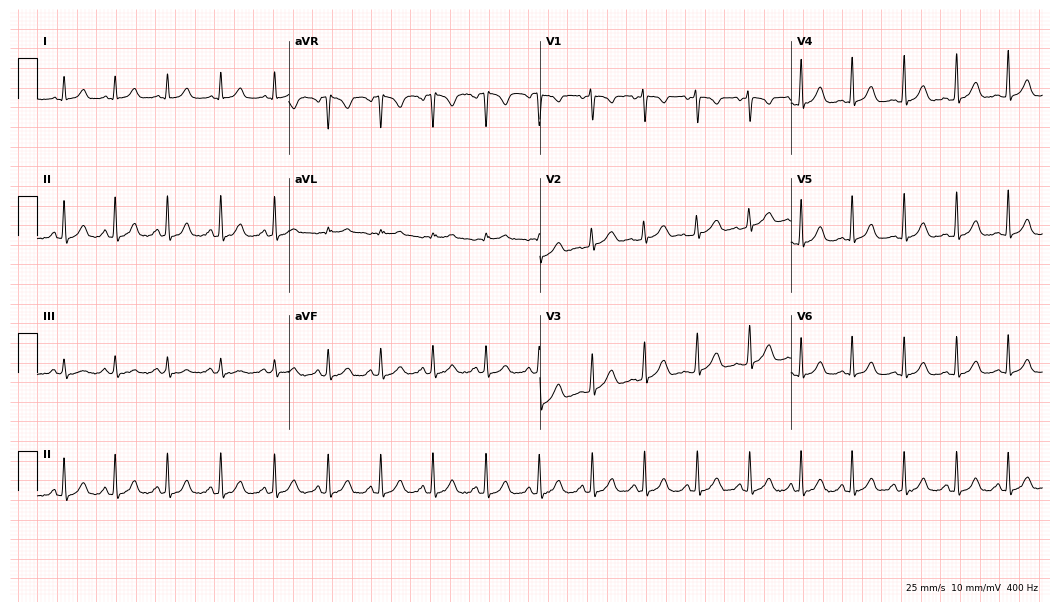
Standard 12-lead ECG recorded from a female, 19 years old (10.2-second recording at 400 Hz). None of these six findings is recorded: first-degree AV block, right bundle branch block (RBBB), left bundle branch block (LBBB), sinus bradycardia, atrial fibrillation (AF), sinus tachycardia.